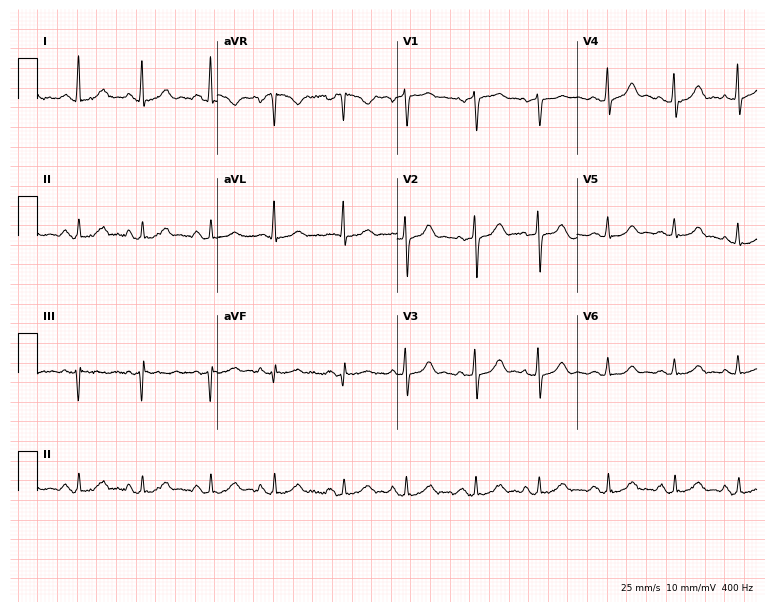
12-lead ECG from a 73-year-old woman. Screened for six findings — first-degree AV block, right bundle branch block, left bundle branch block, sinus bradycardia, atrial fibrillation, sinus tachycardia — none is recorded.